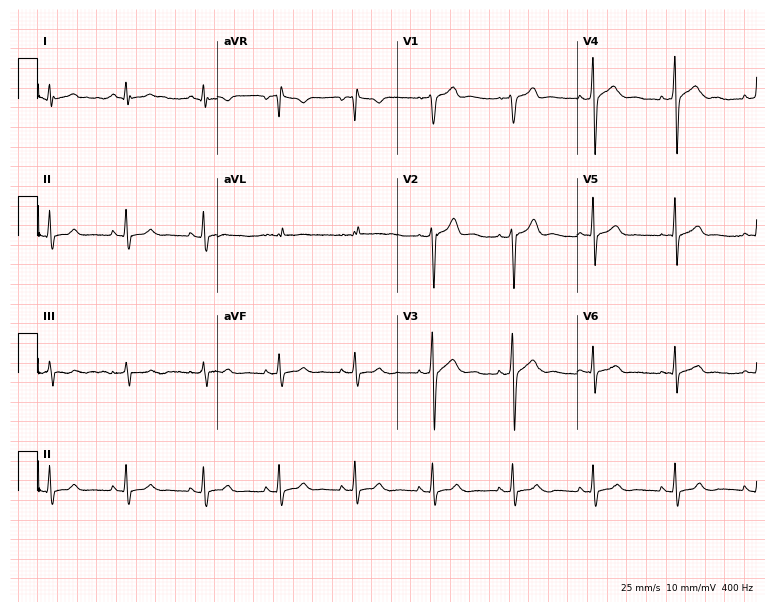
12-lead ECG from a 26-year-old male. Recorded interpretation: within normal limits.